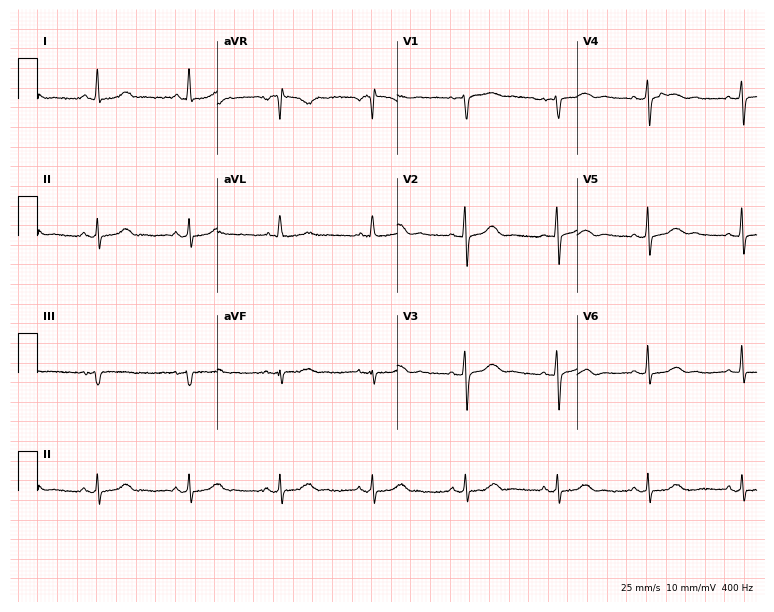
12-lead ECG (7.3-second recording at 400 Hz) from a woman, 73 years old. Labelled as a normal ECG.